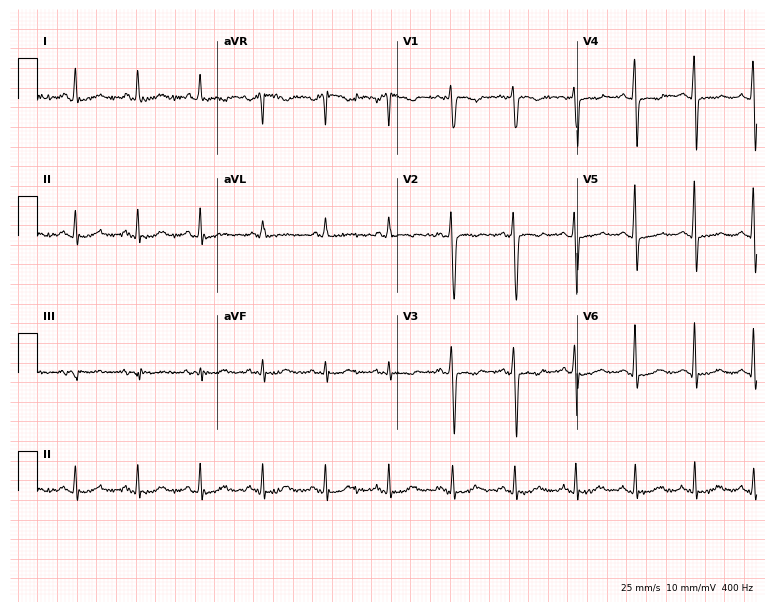
Standard 12-lead ECG recorded from a woman, 50 years old. None of these six findings is recorded: first-degree AV block, right bundle branch block, left bundle branch block, sinus bradycardia, atrial fibrillation, sinus tachycardia.